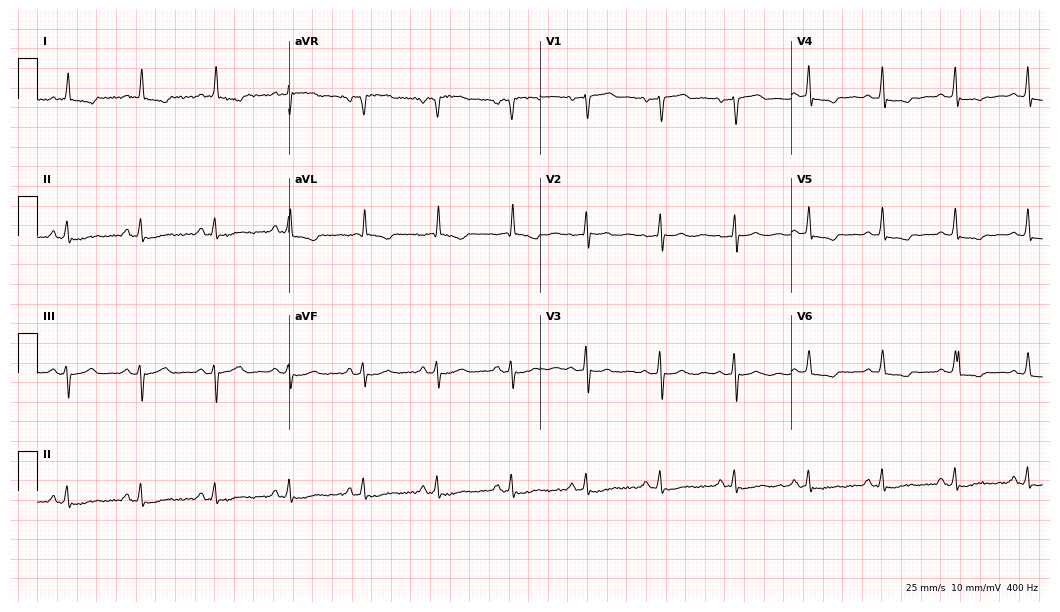
Electrocardiogram (10.2-second recording at 400 Hz), a 73-year-old female. Of the six screened findings (first-degree AV block, right bundle branch block (RBBB), left bundle branch block (LBBB), sinus bradycardia, atrial fibrillation (AF), sinus tachycardia), none is recorded.